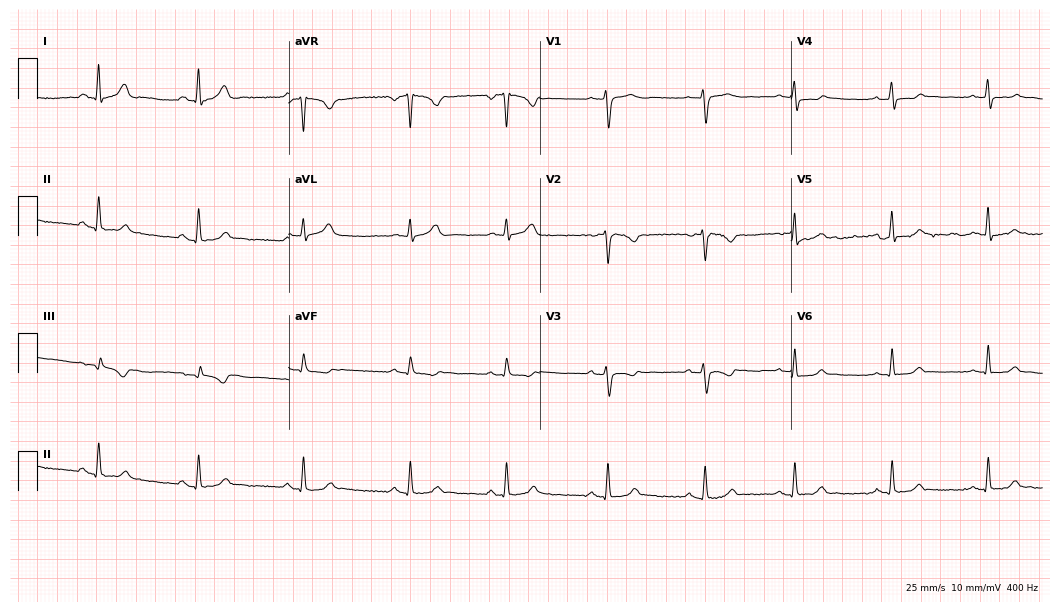
ECG — a woman, 34 years old. Labelled as a normal ECG.